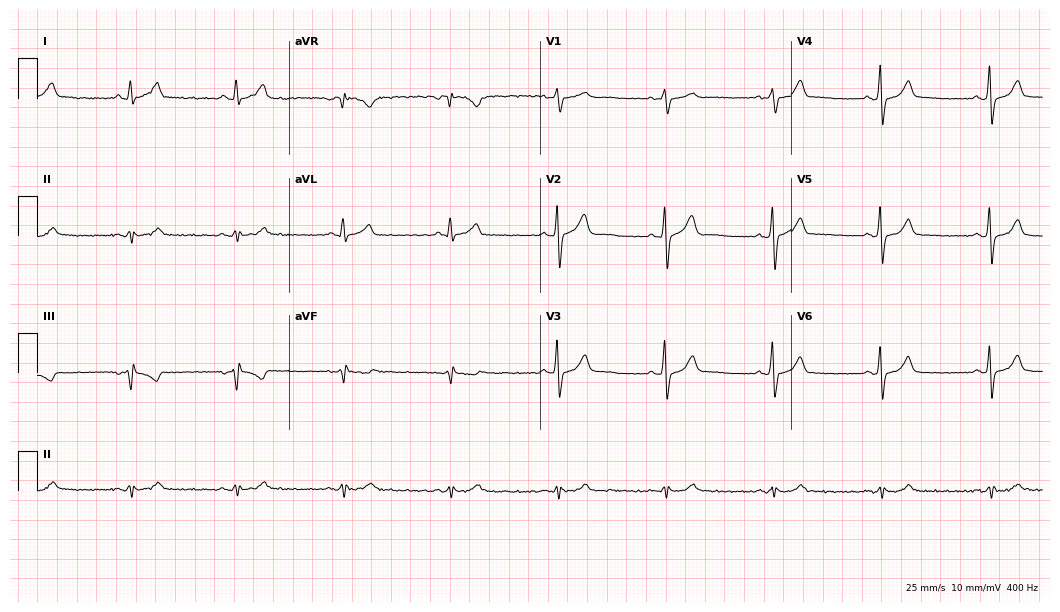
Standard 12-lead ECG recorded from a male, 61 years old (10.2-second recording at 400 Hz). Read as a normal ECG.